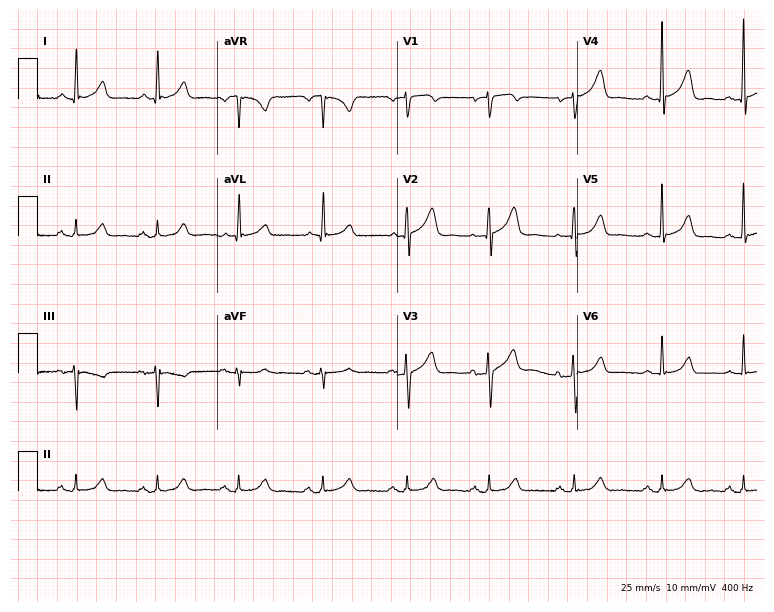
Electrocardiogram, a 58-year-old female. Overall reading on record: normal ECG.